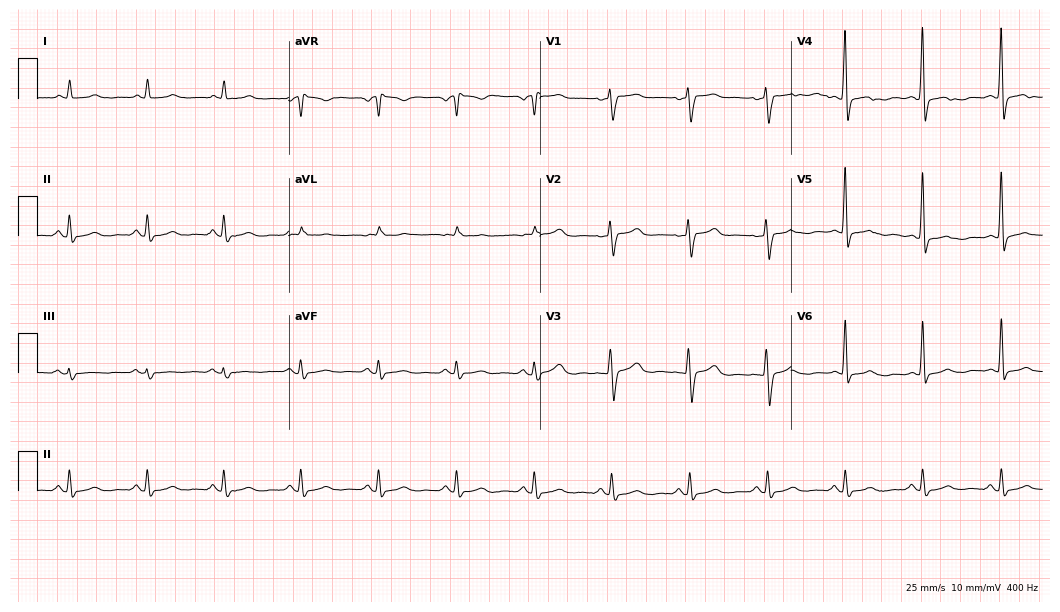
Resting 12-lead electrocardiogram (10.2-second recording at 400 Hz). Patient: a 75-year-old male. None of these six findings is recorded: first-degree AV block, right bundle branch block, left bundle branch block, sinus bradycardia, atrial fibrillation, sinus tachycardia. Only these six findings were labelled.